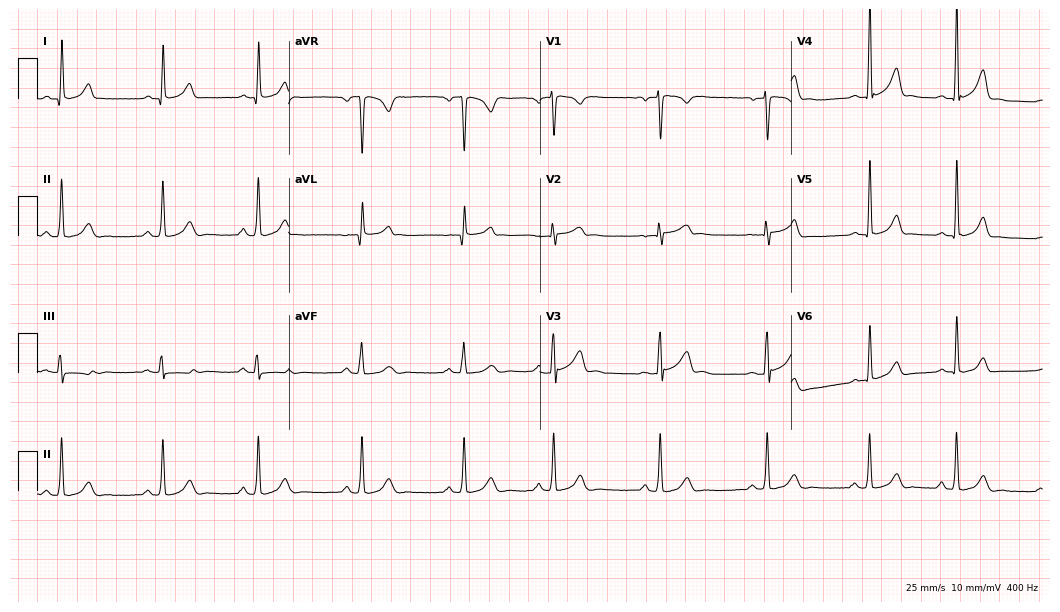
Standard 12-lead ECG recorded from a 26-year-old female (10.2-second recording at 400 Hz). None of these six findings is recorded: first-degree AV block, right bundle branch block (RBBB), left bundle branch block (LBBB), sinus bradycardia, atrial fibrillation (AF), sinus tachycardia. Findings outside these six are not listed.